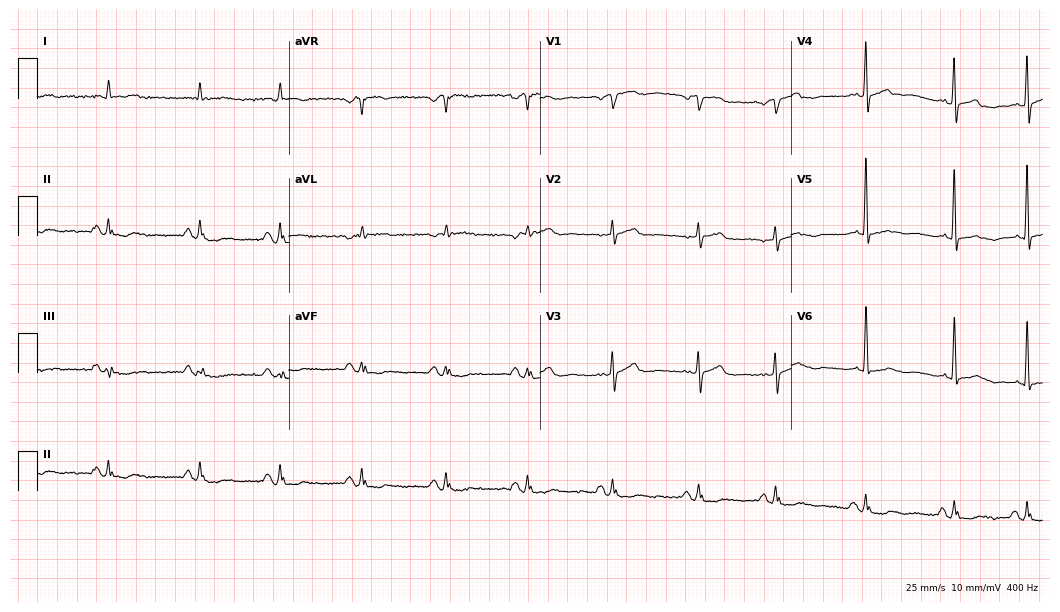
12-lead ECG from an 80-year-old male (10.2-second recording at 400 Hz). No first-degree AV block, right bundle branch block, left bundle branch block, sinus bradycardia, atrial fibrillation or sinus tachycardia recorded for this tracing.